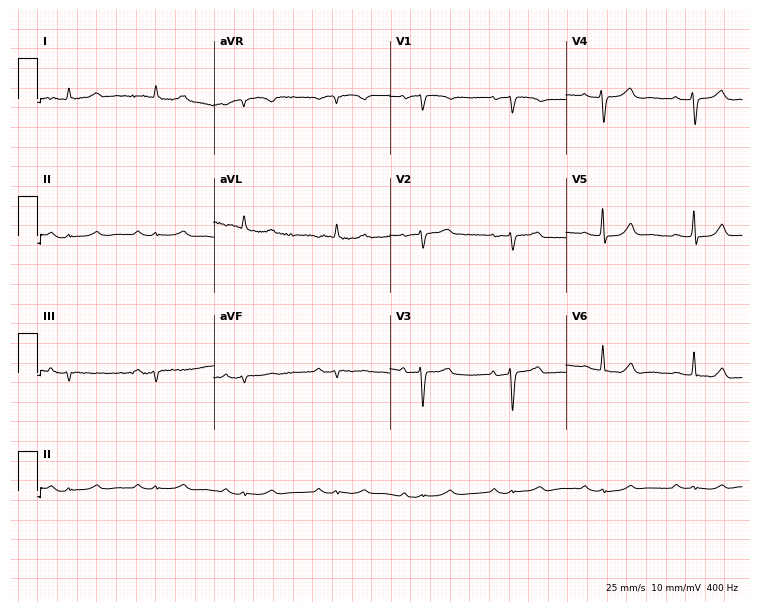
12-lead ECG from a female, 80 years old. No first-degree AV block, right bundle branch block, left bundle branch block, sinus bradycardia, atrial fibrillation or sinus tachycardia recorded for this tracing. Findings outside these six are not listed.